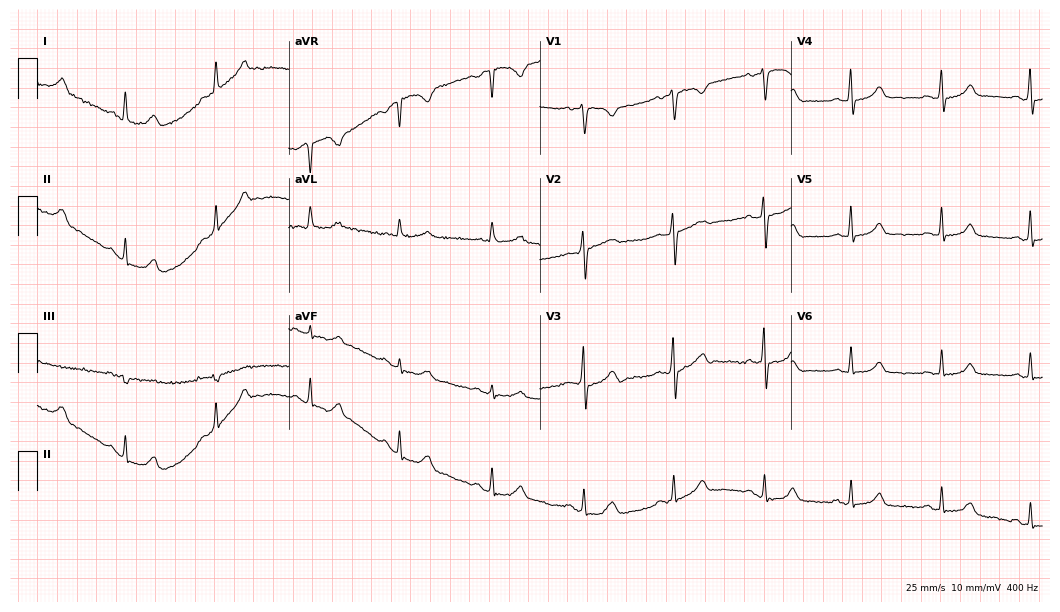
Standard 12-lead ECG recorded from a female patient, 34 years old. Read as a normal ECG.